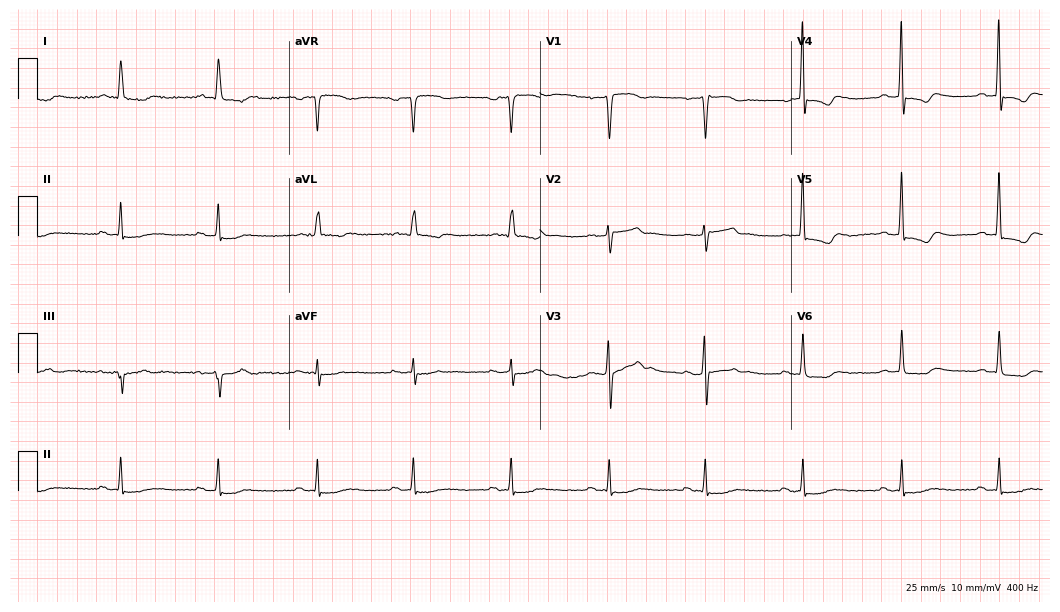
Electrocardiogram (10.2-second recording at 400 Hz), a 72-year-old man. Of the six screened findings (first-degree AV block, right bundle branch block (RBBB), left bundle branch block (LBBB), sinus bradycardia, atrial fibrillation (AF), sinus tachycardia), none is recorded. Other findings, if any, are not listed.